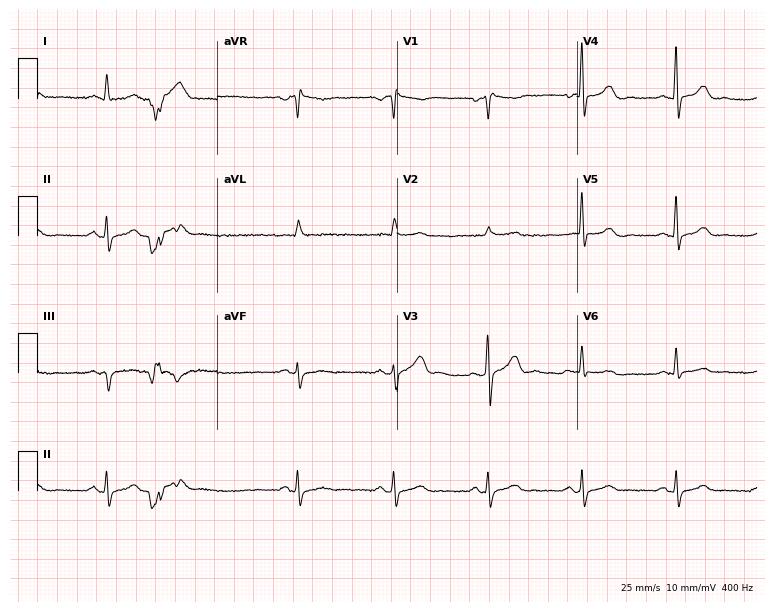
Resting 12-lead electrocardiogram. Patient: a male, 57 years old. None of these six findings is recorded: first-degree AV block, right bundle branch block, left bundle branch block, sinus bradycardia, atrial fibrillation, sinus tachycardia. Other findings, if any, are not listed.